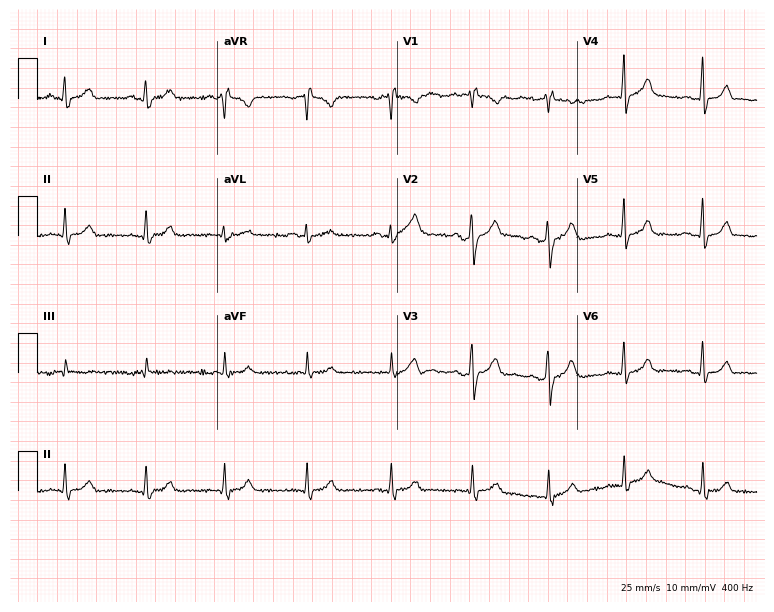
Resting 12-lead electrocardiogram. Patient: a 31-year-old woman. None of these six findings is recorded: first-degree AV block, right bundle branch block, left bundle branch block, sinus bradycardia, atrial fibrillation, sinus tachycardia. Findings outside these six are not listed.